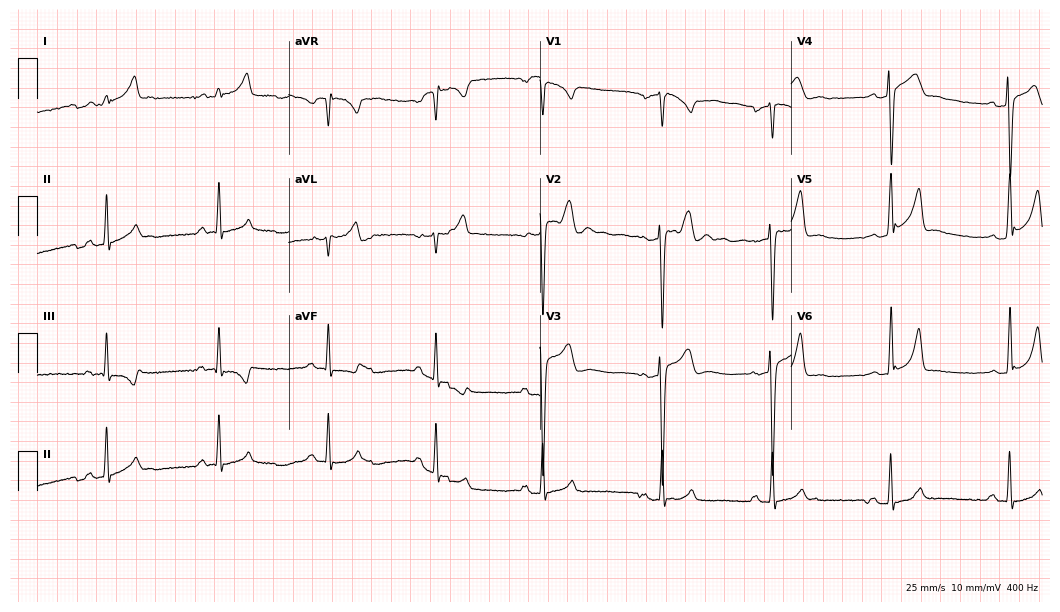
Electrocardiogram (10.2-second recording at 400 Hz), a male, 28 years old. Of the six screened findings (first-degree AV block, right bundle branch block (RBBB), left bundle branch block (LBBB), sinus bradycardia, atrial fibrillation (AF), sinus tachycardia), none is recorded. Other findings, if any, are not listed.